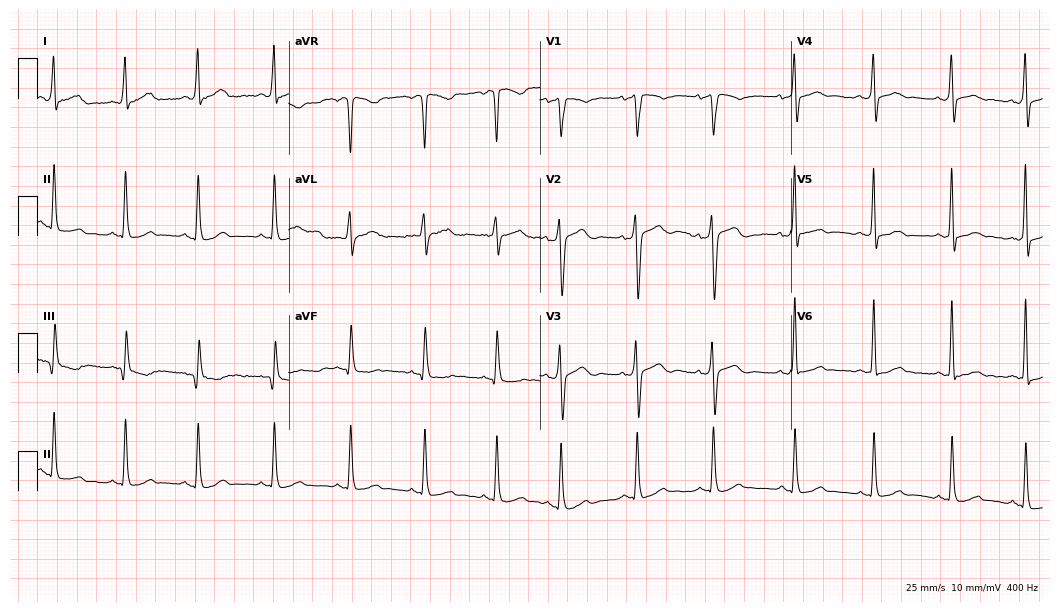
12-lead ECG (10.2-second recording at 400 Hz) from a male, 29 years old. Labelled as a normal ECG.